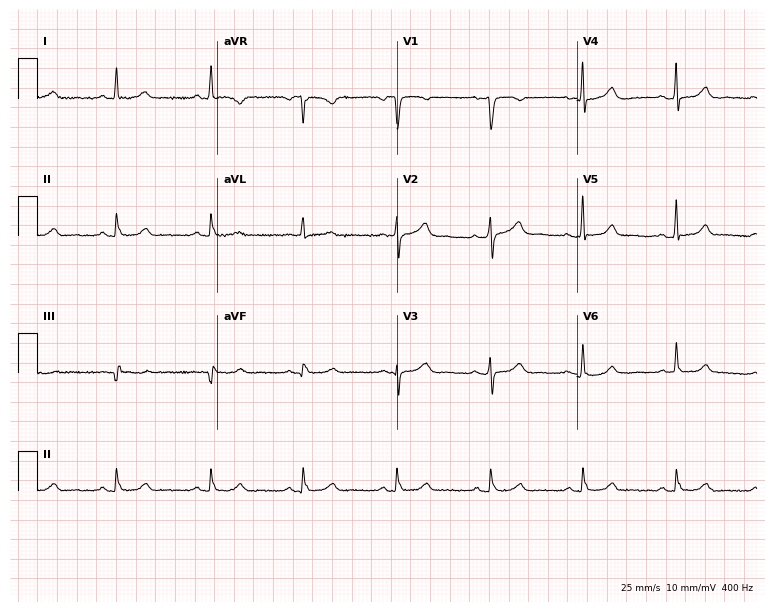
12-lead ECG (7.3-second recording at 400 Hz) from a 70-year-old female. Labelled as a normal ECG.